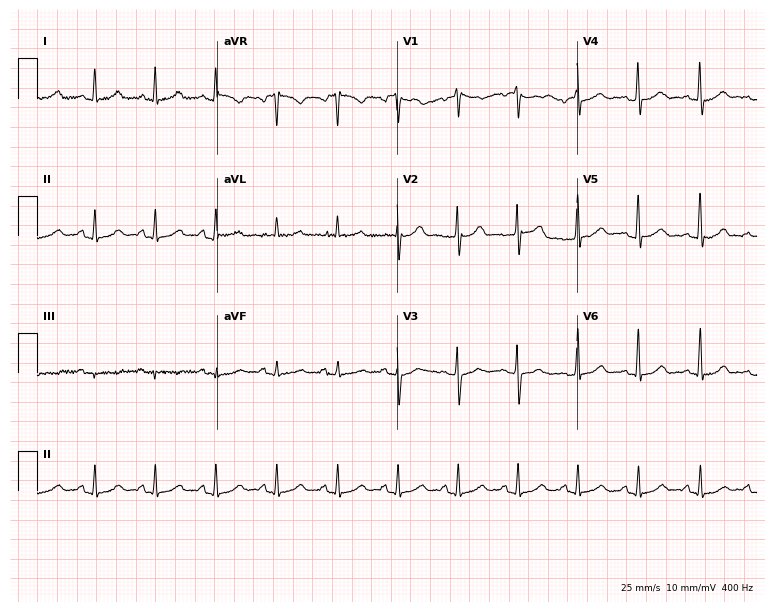
ECG (7.3-second recording at 400 Hz) — a woman, 54 years old. Labelled as a normal ECG.